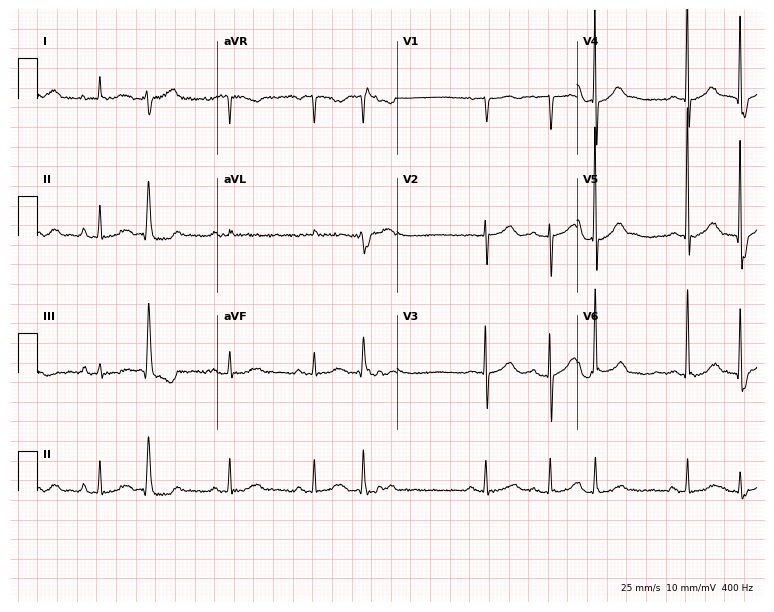
12-lead ECG (7.3-second recording at 400 Hz) from an 84-year-old man. Screened for six findings — first-degree AV block, right bundle branch block, left bundle branch block, sinus bradycardia, atrial fibrillation, sinus tachycardia — none is recorded. Findings outside these six are not listed.